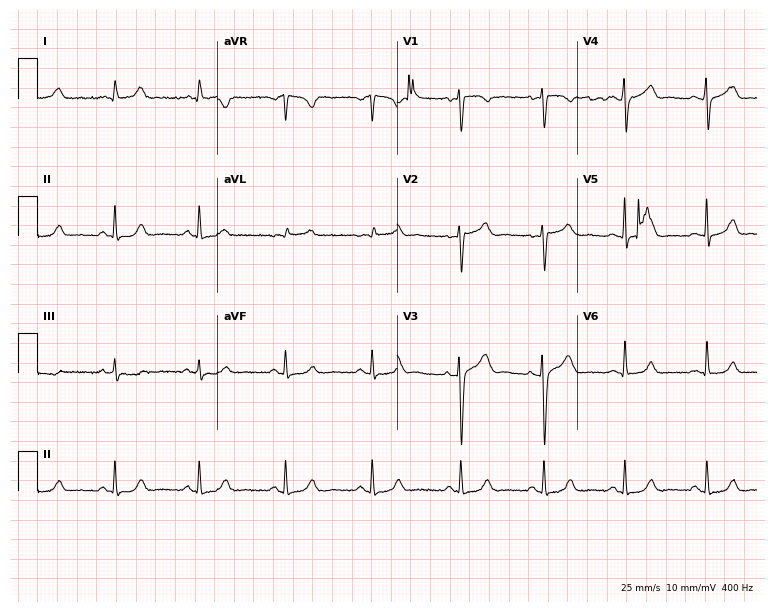
Standard 12-lead ECG recorded from a woman, 41 years old. Read as a normal ECG.